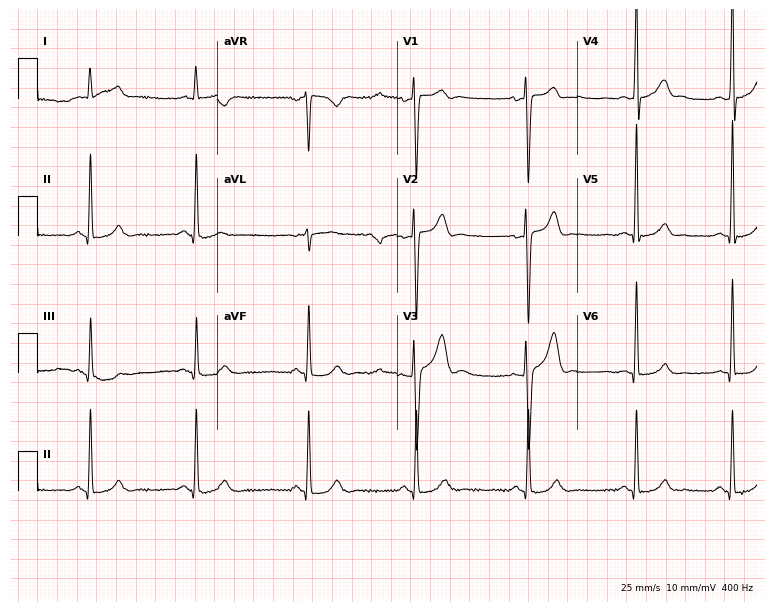
12-lead ECG from a male patient, 32 years old (7.3-second recording at 400 Hz). Recorded interpretation: within normal limits.